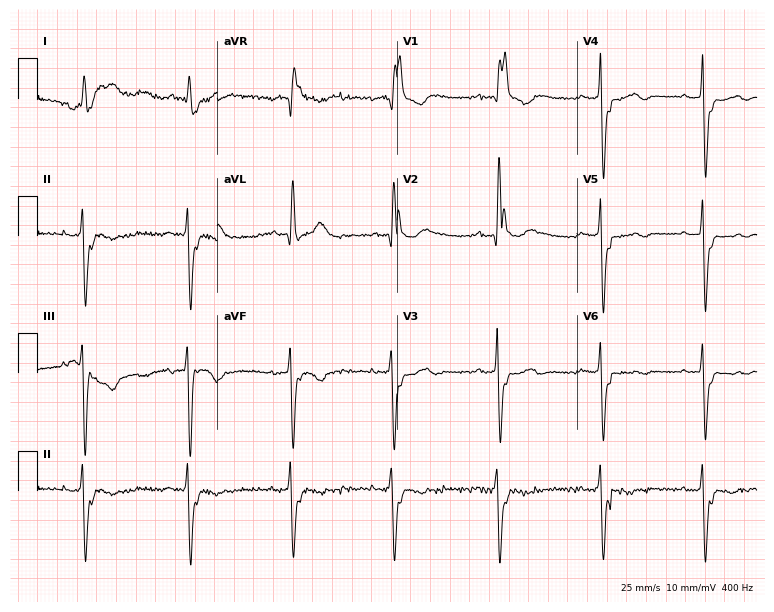
12-lead ECG (7.3-second recording at 400 Hz) from a 75-year-old male. Findings include right bundle branch block (RBBB).